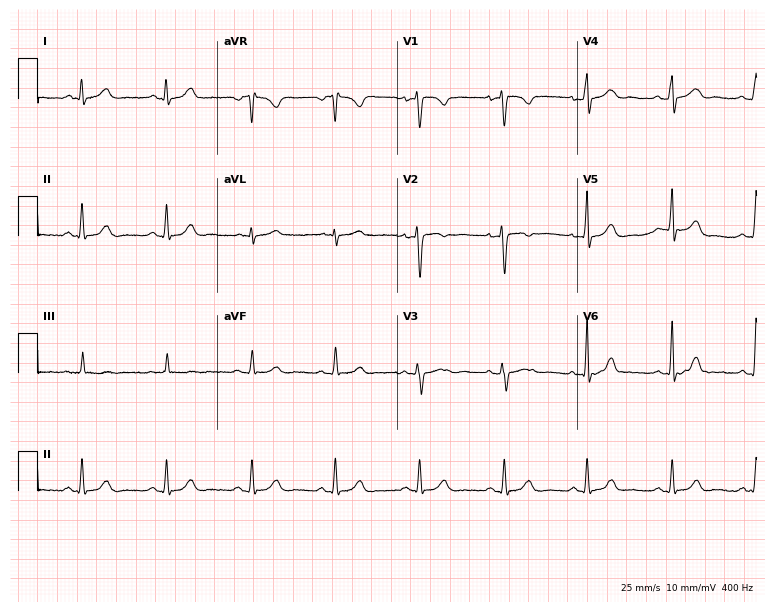
12-lead ECG from a woman, 37 years old. Labelled as a normal ECG.